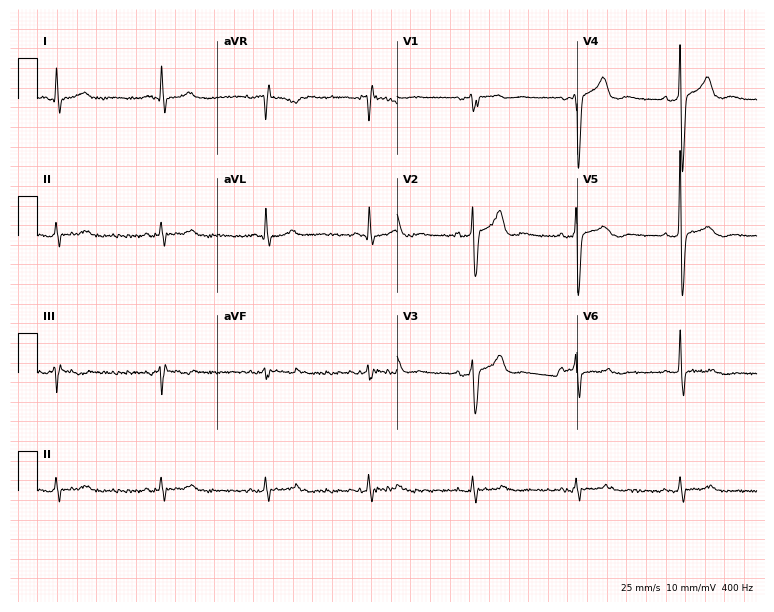
12-lead ECG from a male, 73 years old (7.3-second recording at 400 Hz). No first-degree AV block, right bundle branch block, left bundle branch block, sinus bradycardia, atrial fibrillation or sinus tachycardia recorded for this tracing.